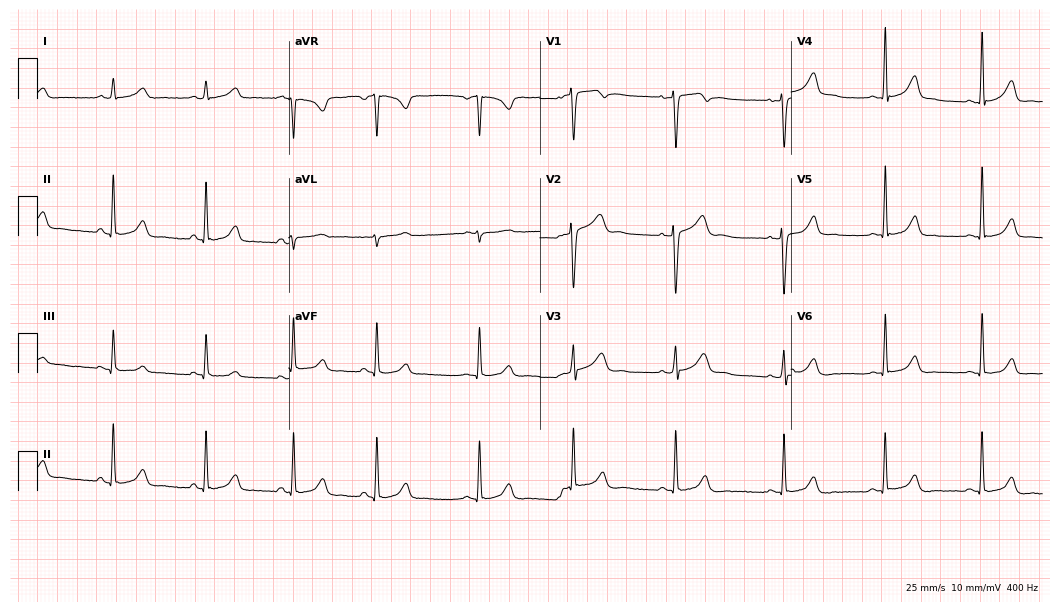
ECG (10.2-second recording at 400 Hz) — a 28-year-old woman. Labelled as a normal ECG.